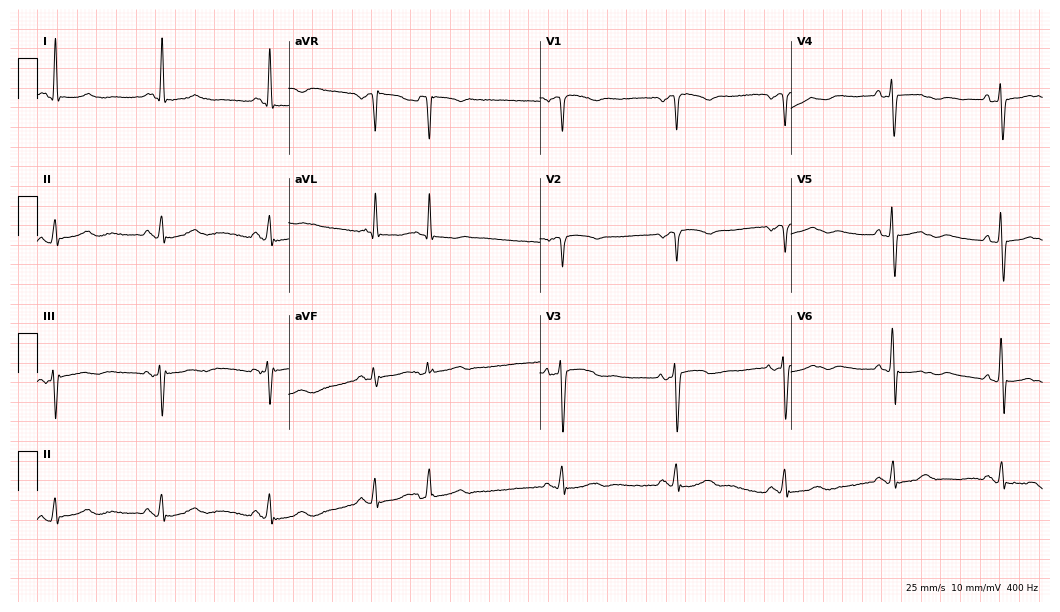
Resting 12-lead electrocardiogram. Patient: a male, 84 years old. None of these six findings is recorded: first-degree AV block, right bundle branch block, left bundle branch block, sinus bradycardia, atrial fibrillation, sinus tachycardia. Other findings, if any, are not listed.